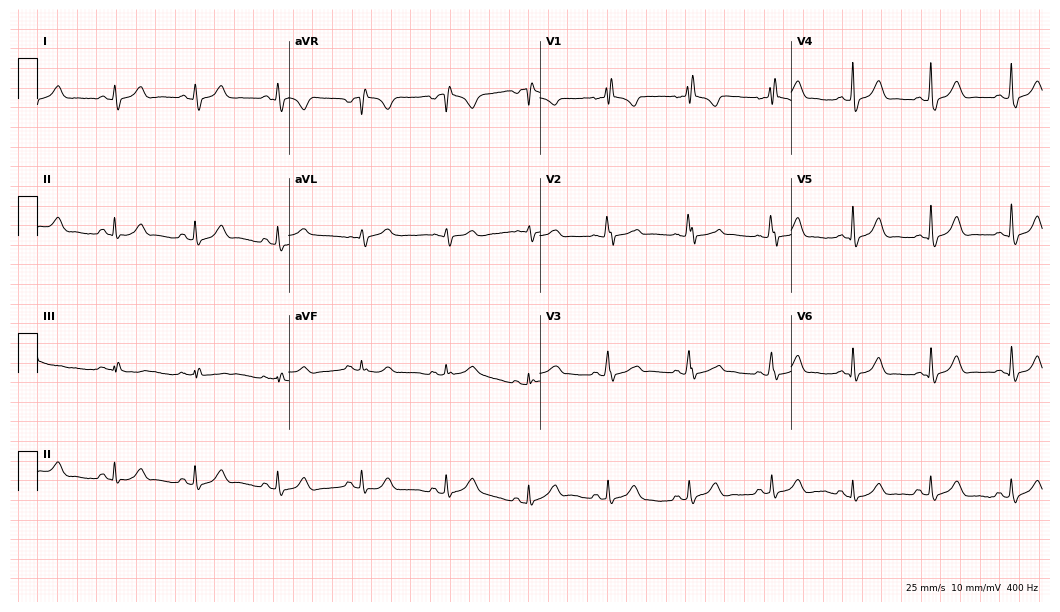
12-lead ECG from a female patient, 37 years old. No first-degree AV block, right bundle branch block (RBBB), left bundle branch block (LBBB), sinus bradycardia, atrial fibrillation (AF) or sinus tachycardia recorded for this tracing.